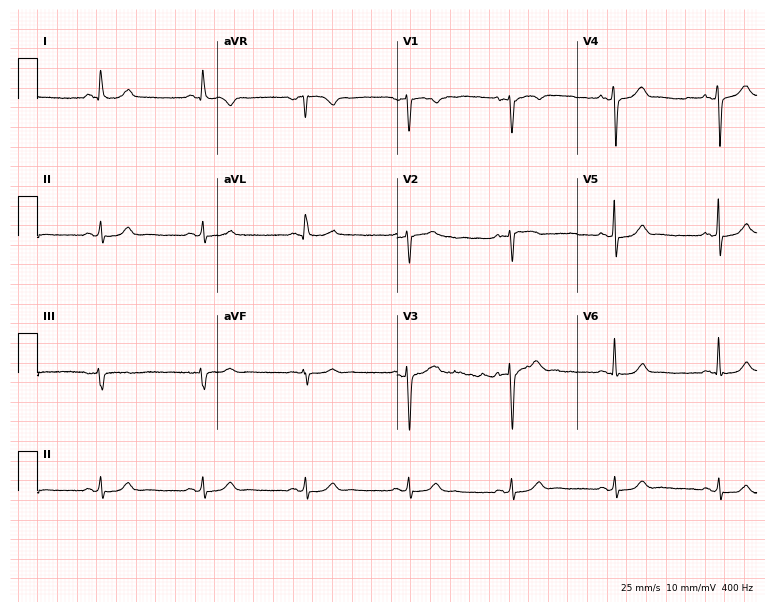
Standard 12-lead ECG recorded from a male, 47 years old (7.3-second recording at 400 Hz). Read as a normal ECG.